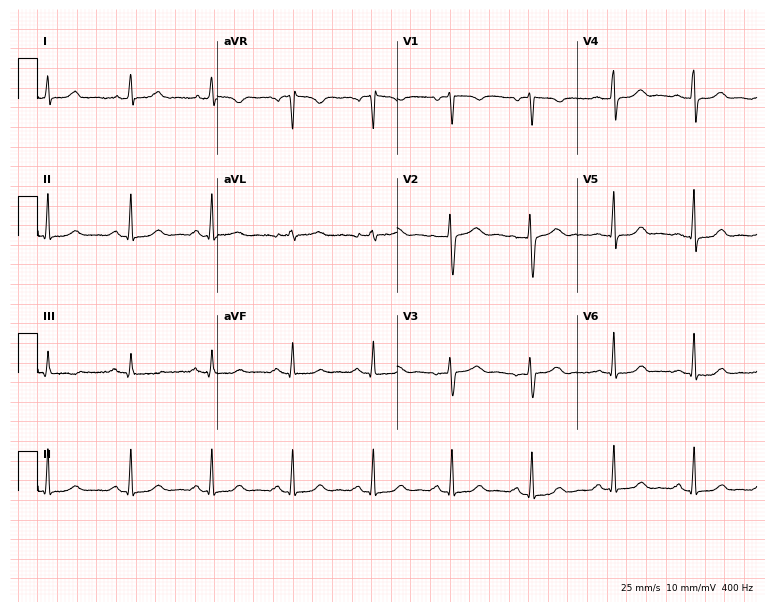
12-lead ECG from a 38-year-old woman (7.3-second recording at 400 Hz). Recorded interpretation: within normal limits.